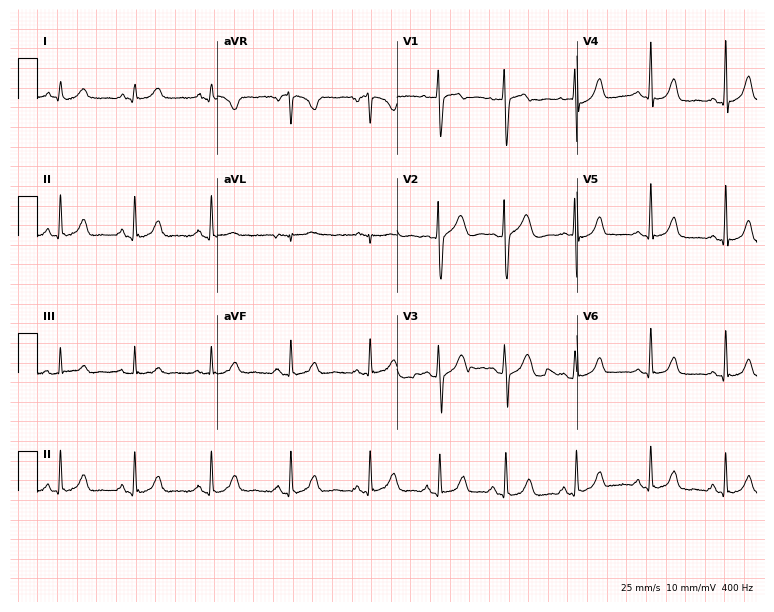
Resting 12-lead electrocardiogram (7.3-second recording at 400 Hz). Patient: a female, 22 years old. Read as a normal ECG.